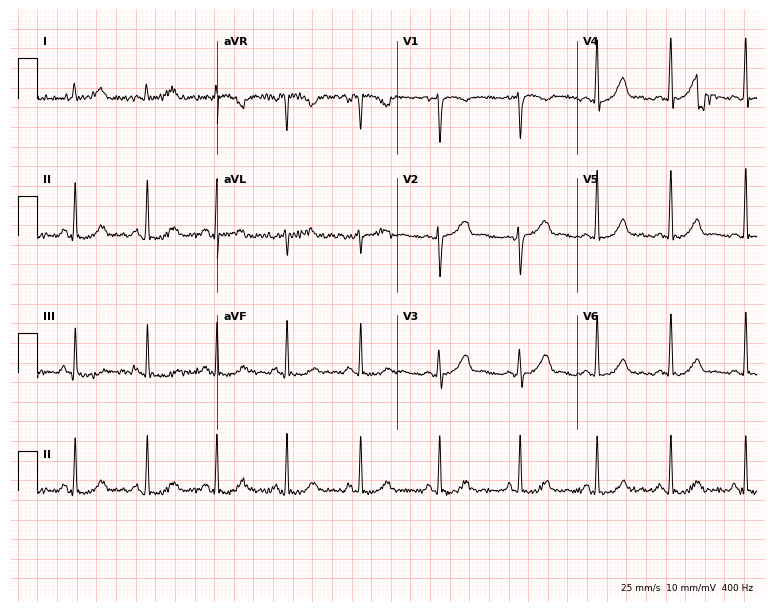
12-lead ECG from a 35-year-old female. No first-degree AV block, right bundle branch block, left bundle branch block, sinus bradycardia, atrial fibrillation or sinus tachycardia recorded for this tracing. Findings outside these six are not listed.